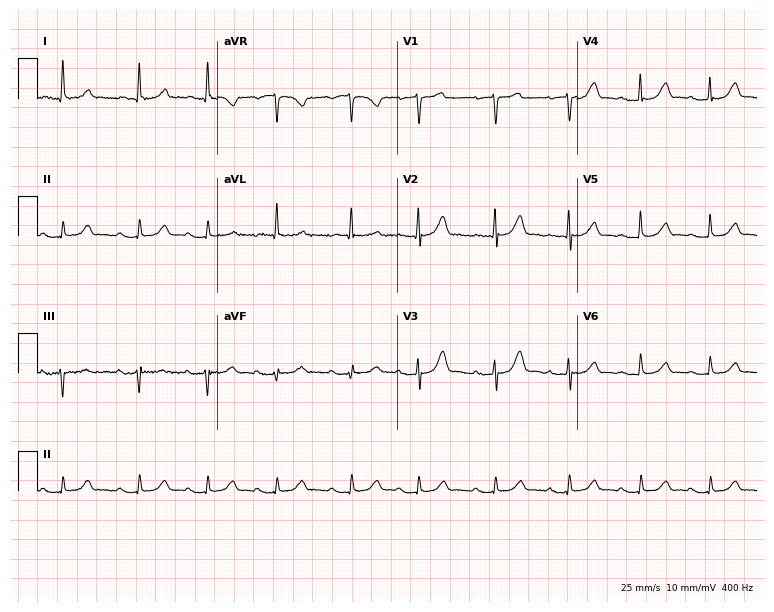
Standard 12-lead ECG recorded from a female patient, 79 years old (7.3-second recording at 400 Hz). Read as a normal ECG.